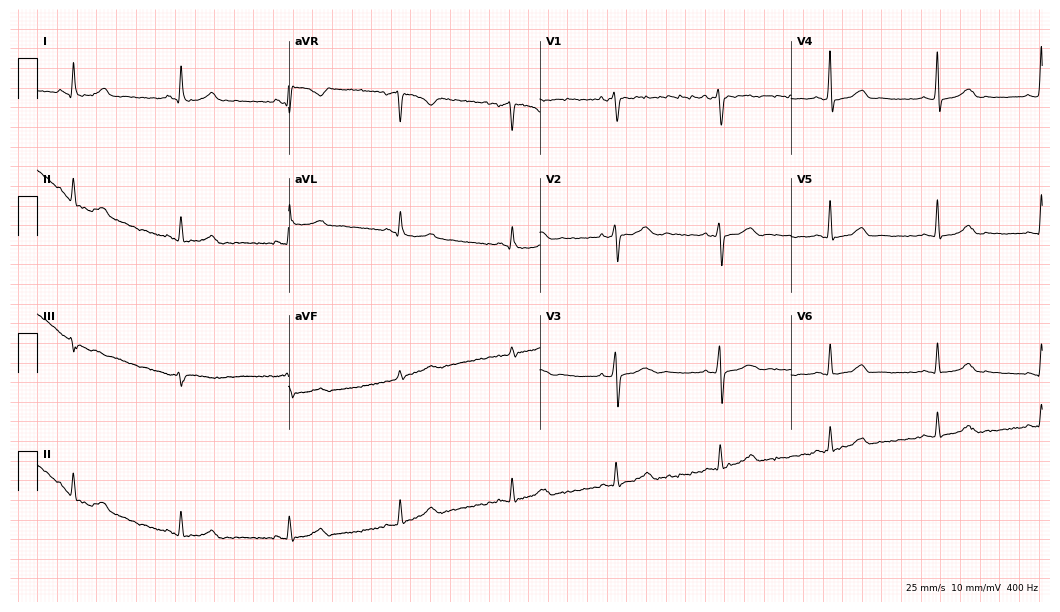
Resting 12-lead electrocardiogram (10.2-second recording at 400 Hz). Patient: a woman, 41 years old. Read as a normal ECG.